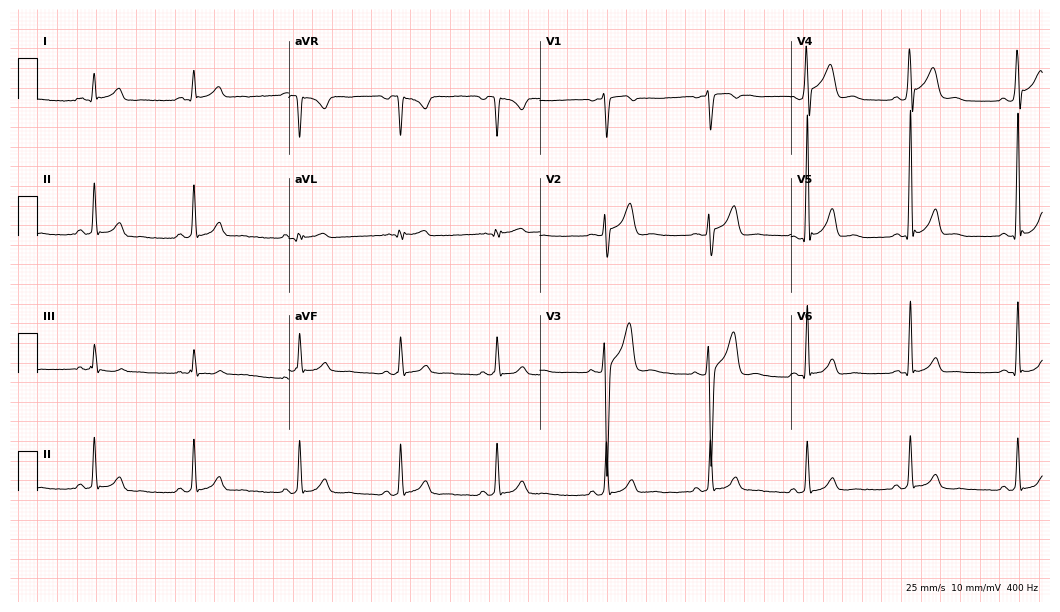
Electrocardiogram, a 21-year-old man. Overall reading on record: normal ECG.